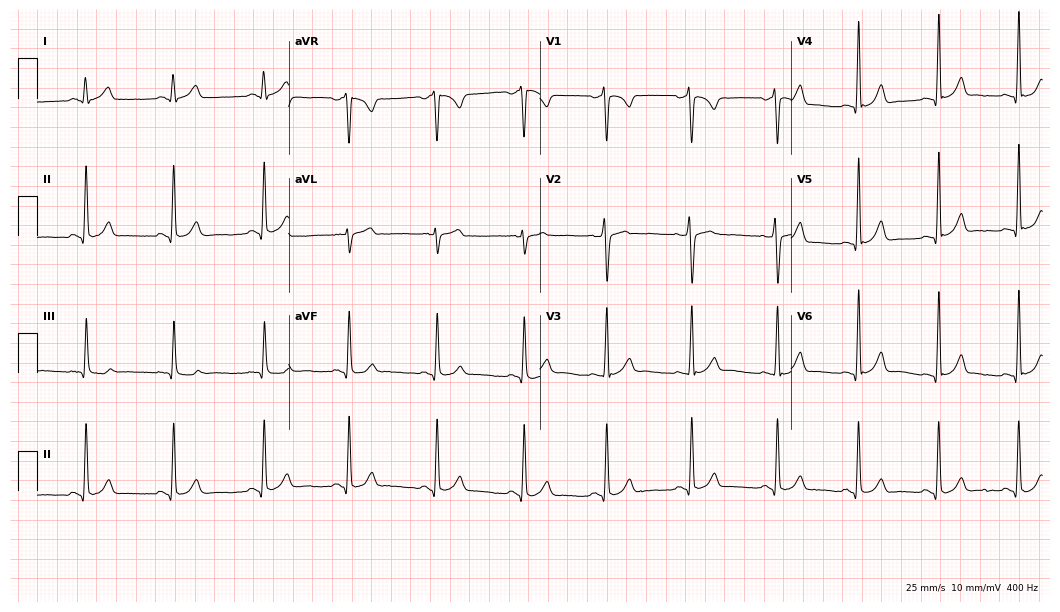
Standard 12-lead ECG recorded from a female patient, 17 years old. Read as a normal ECG.